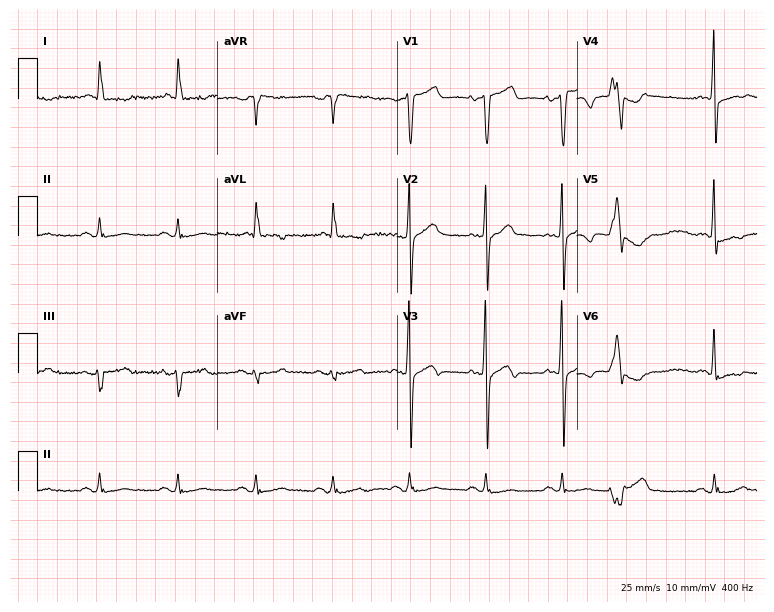
12-lead ECG from a male patient, 71 years old. No first-degree AV block, right bundle branch block, left bundle branch block, sinus bradycardia, atrial fibrillation or sinus tachycardia recorded for this tracing.